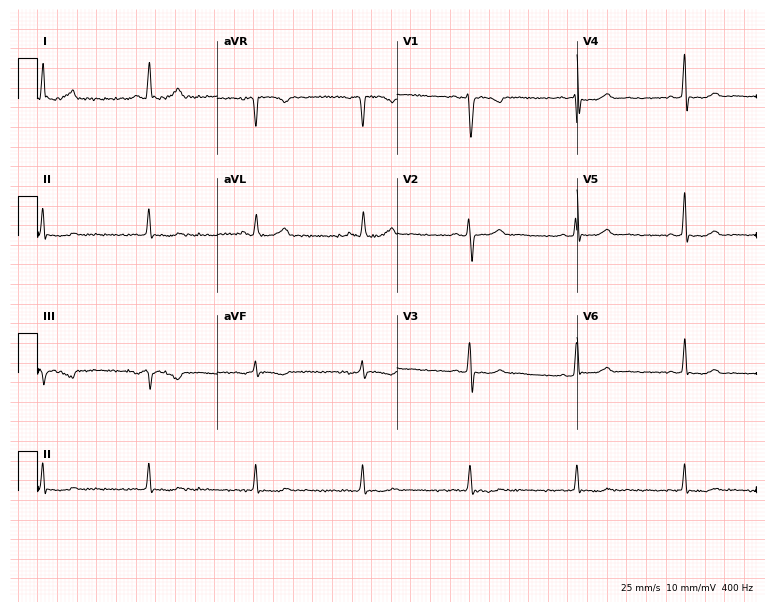
Electrocardiogram (7.3-second recording at 400 Hz), a 53-year-old female patient. Of the six screened findings (first-degree AV block, right bundle branch block (RBBB), left bundle branch block (LBBB), sinus bradycardia, atrial fibrillation (AF), sinus tachycardia), none is recorded.